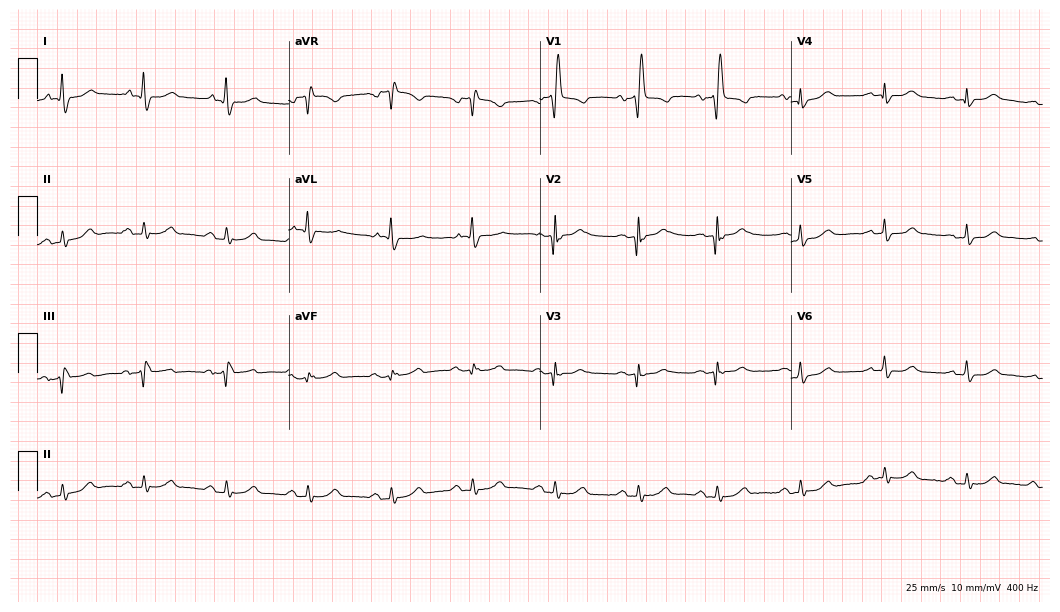
12-lead ECG from a male, 69 years old (10.2-second recording at 400 Hz). No first-degree AV block, right bundle branch block, left bundle branch block, sinus bradycardia, atrial fibrillation or sinus tachycardia recorded for this tracing. Only these six findings were labelled.